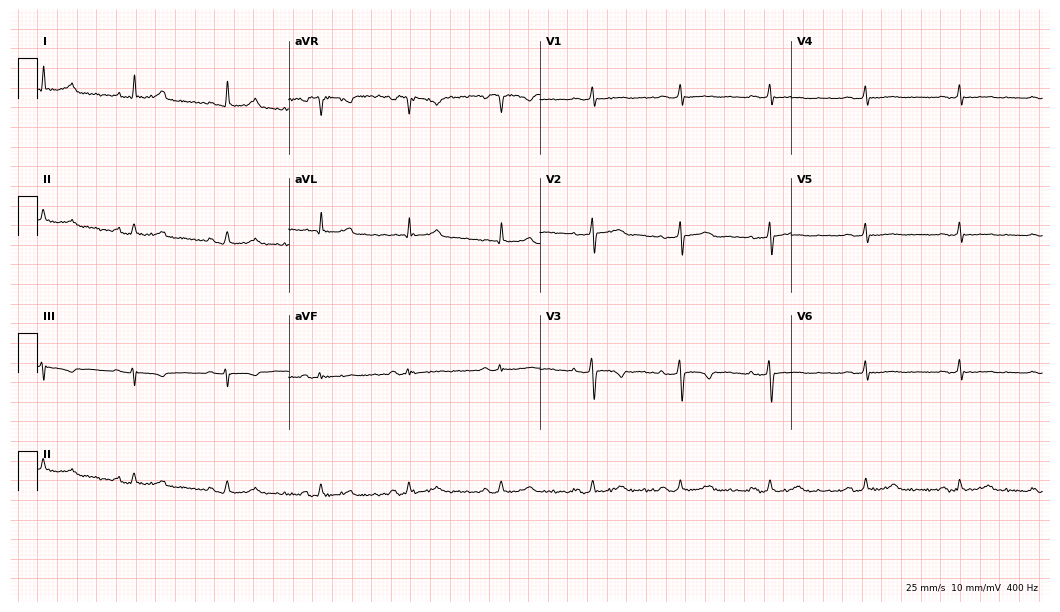
Electrocardiogram (10.2-second recording at 400 Hz), a woman, 32 years old. Overall reading on record: normal ECG.